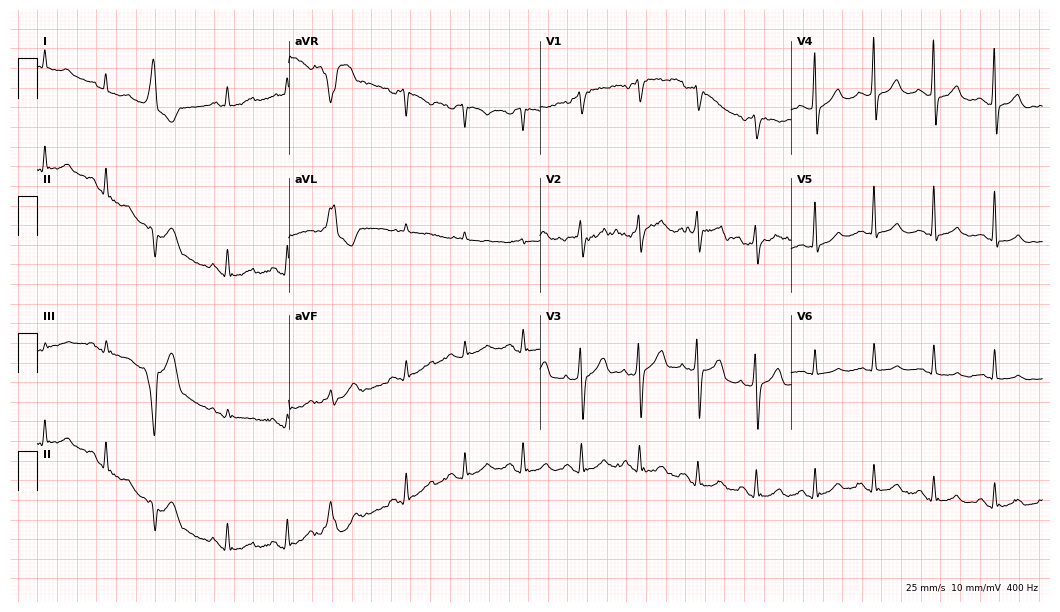
Standard 12-lead ECG recorded from a male, 79 years old (10.2-second recording at 400 Hz). None of these six findings is recorded: first-degree AV block, right bundle branch block (RBBB), left bundle branch block (LBBB), sinus bradycardia, atrial fibrillation (AF), sinus tachycardia.